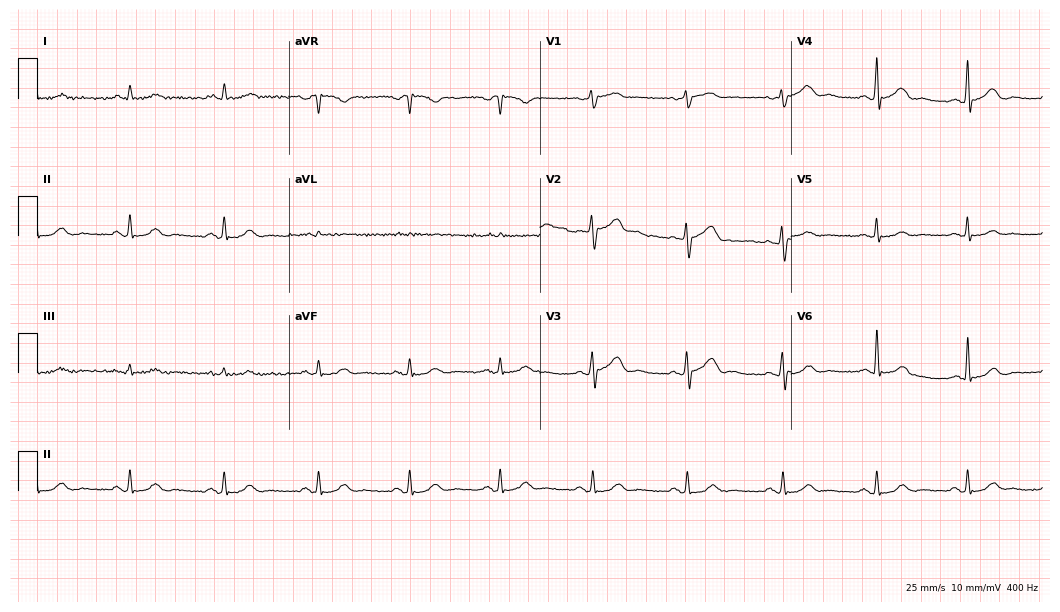
12-lead ECG from a male patient, 66 years old. Labelled as a normal ECG.